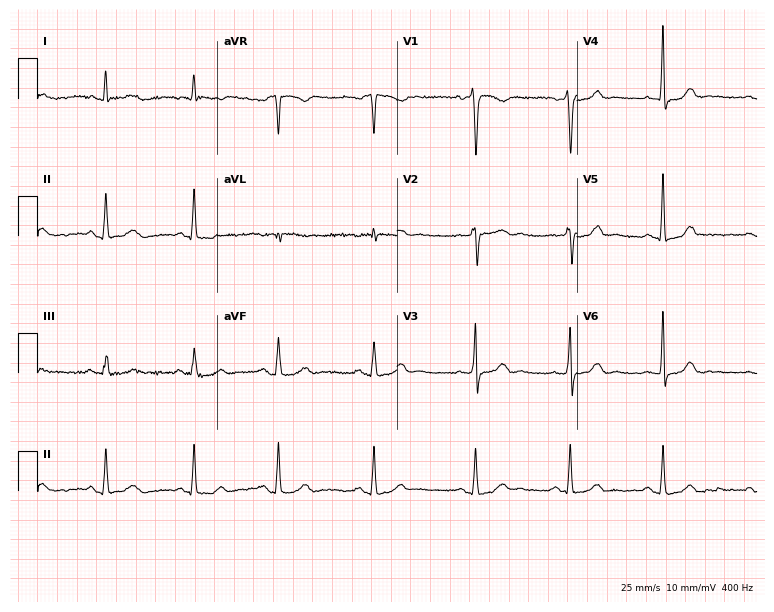
Electrocardiogram, a 40-year-old female. Overall reading on record: normal ECG.